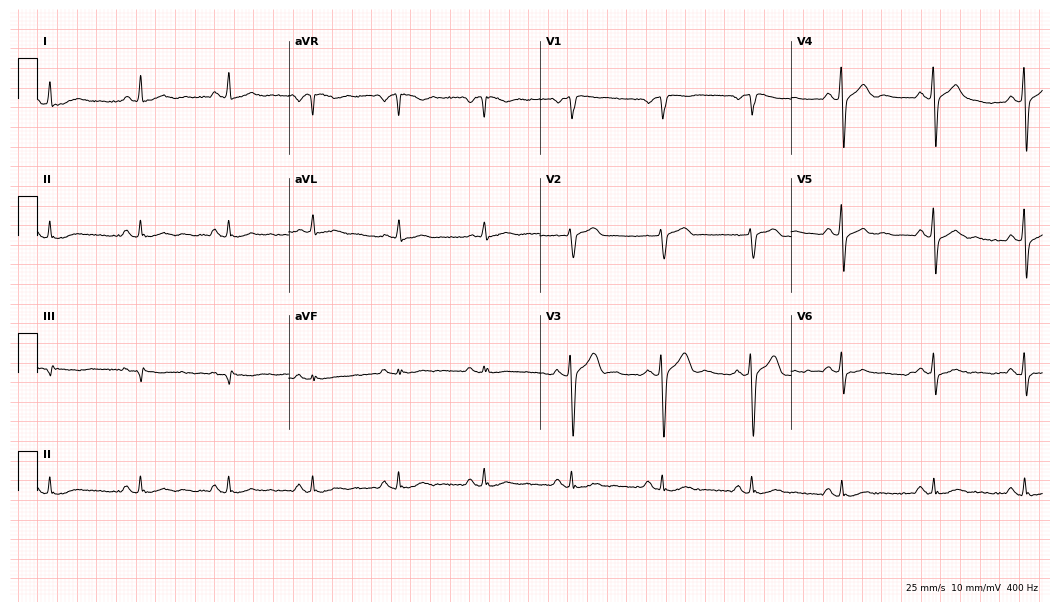
Electrocardiogram (10.2-second recording at 400 Hz), a 62-year-old male. Of the six screened findings (first-degree AV block, right bundle branch block, left bundle branch block, sinus bradycardia, atrial fibrillation, sinus tachycardia), none is recorded.